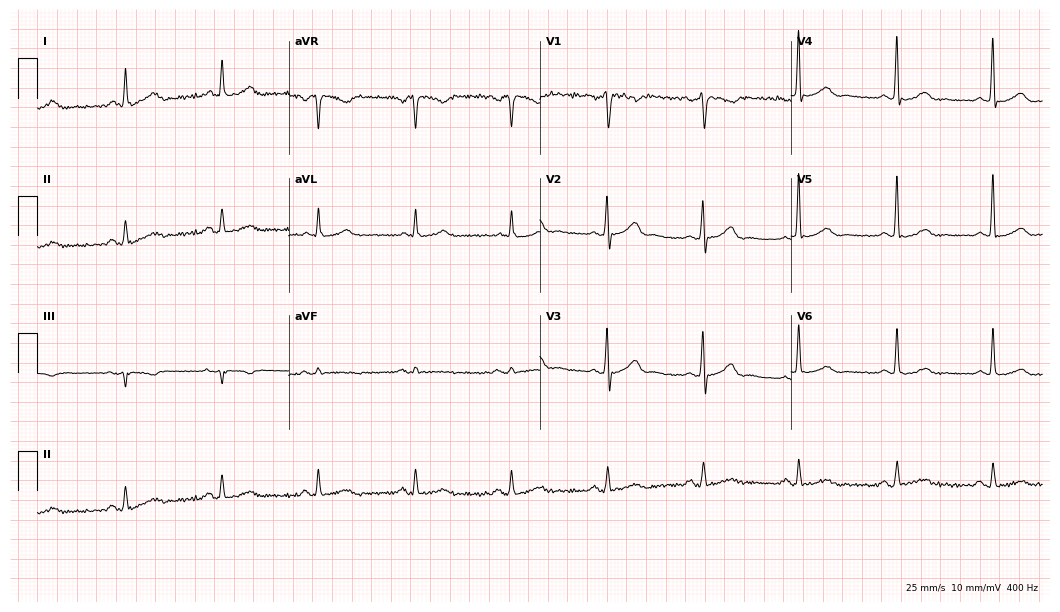
12-lead ECG from a 57-year-old man. Recorded interpretation: within normal limits.